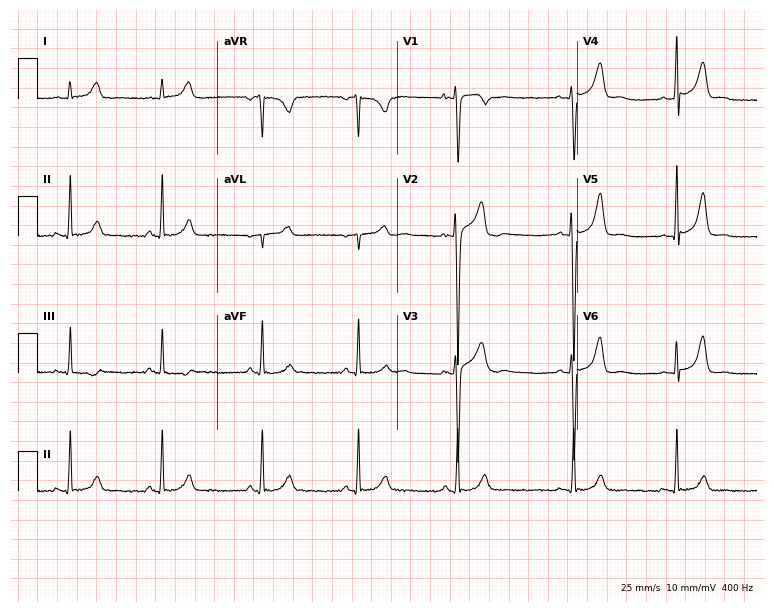
ECG (7.3-second recording at 400 Hz) — a male patient, 20 years old. Labelled as a normal ECG.